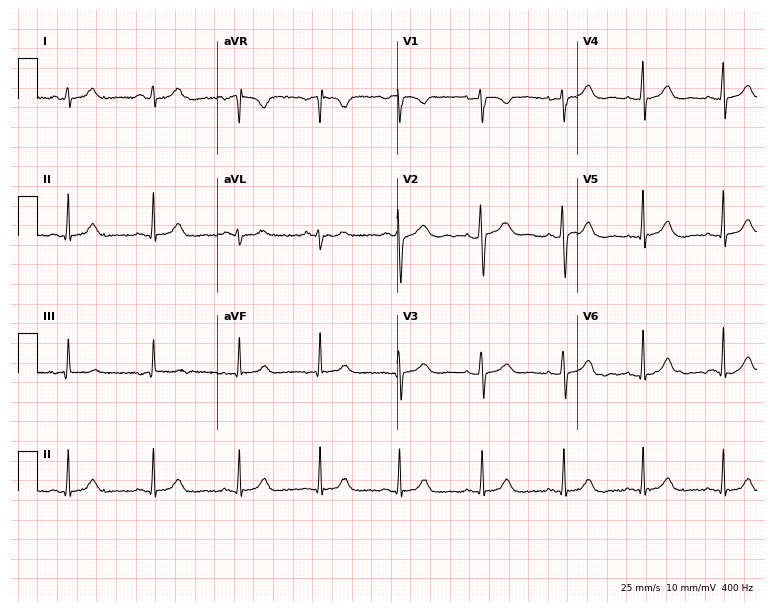
Resting 12-lead electrocardiogram (7.3-second recording at 400 Hz). Patient: a 43-year-old female. Read as a normal ECG.